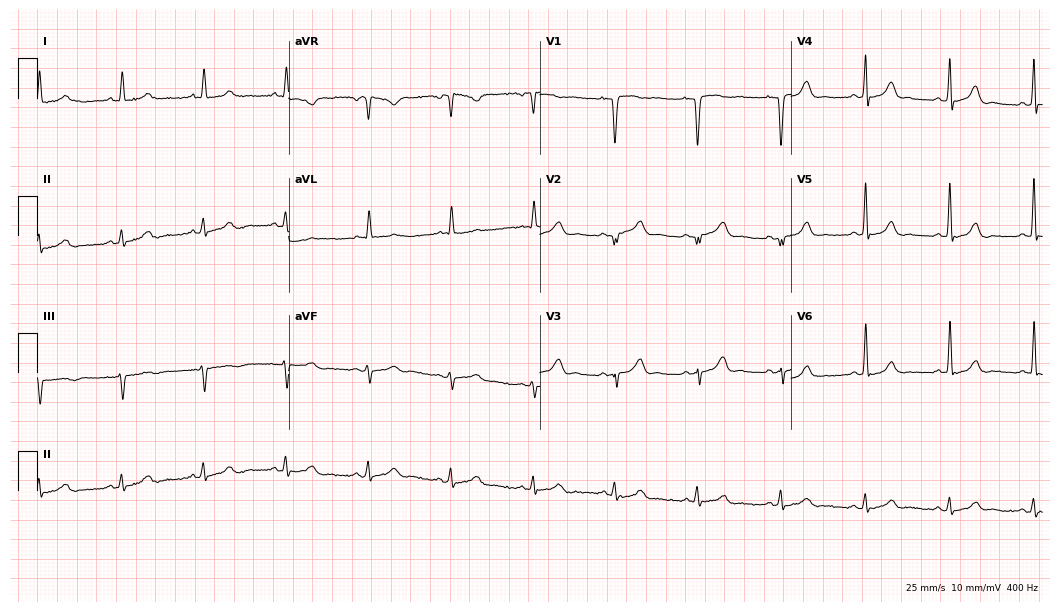
Electrocardiogram, a female patient, 85 years old. Overall reading on record: normal ECG.